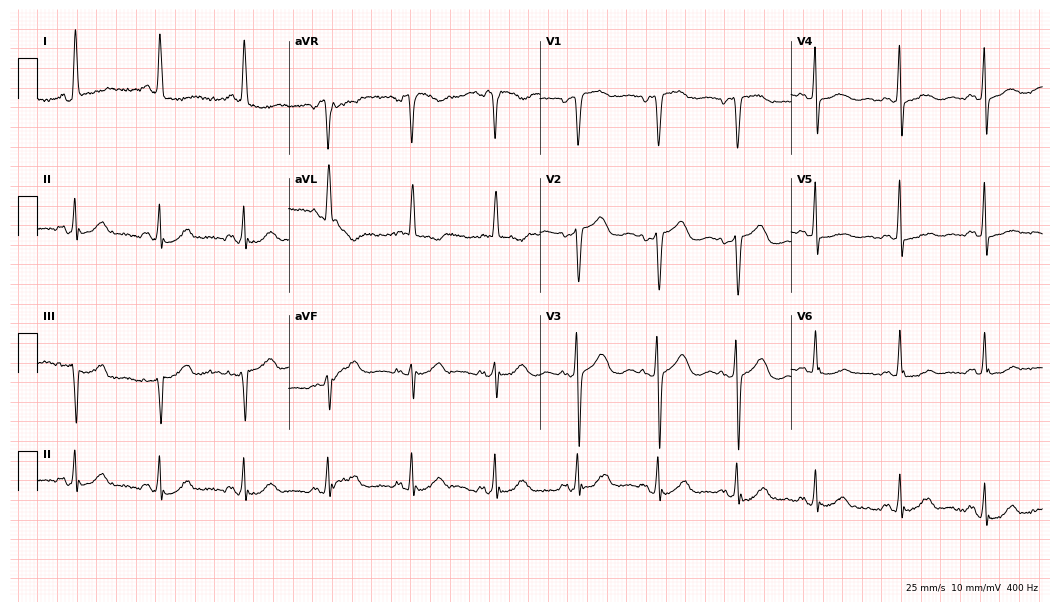
12-lead ECG from a woman, 77 years old (10.2-second recording at 400 Hz). No first-degree AV block, right bundle branch block, left bundle branch block, sinus bradycardia, atrial fibrillation or sinus tachycardia recorded for this tracing.